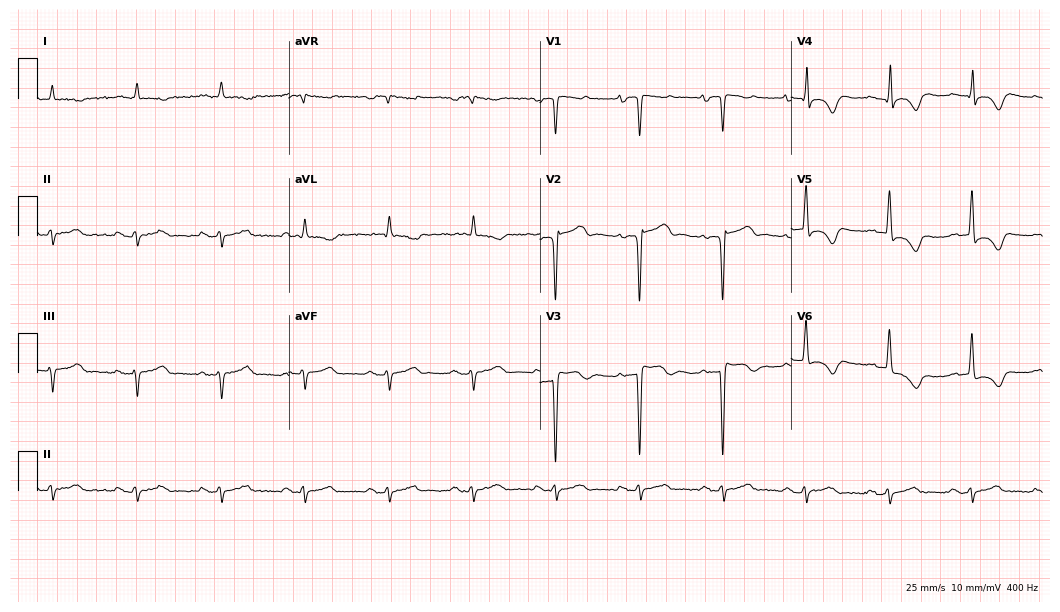
12-lead ECG from a man, 79 years old. Screened for six findings — first-degree AV block, right bundle branch block (RBBB), left bundle branch block (LBBB), sinus bradycardia, atrial fibrillation (AF), sinus tachycardia — none is recorded. Only these six findings were labelled.